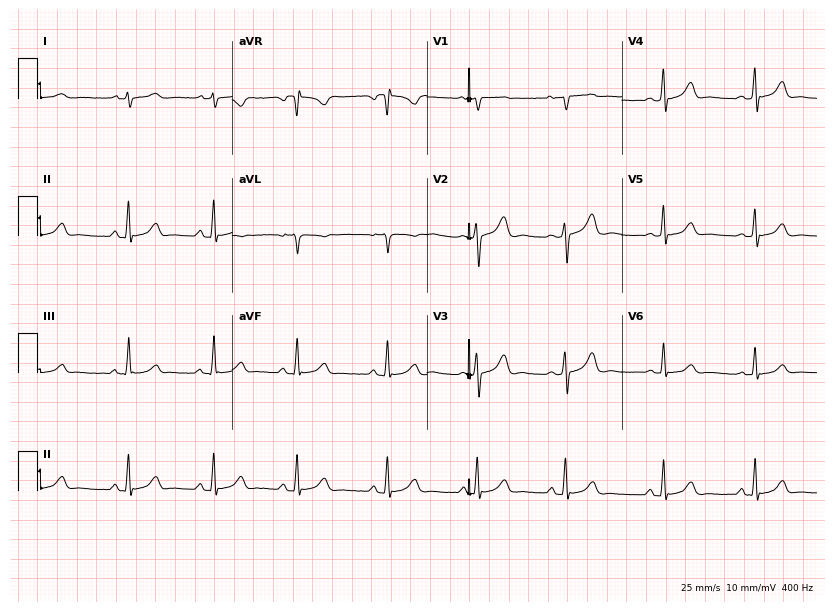
Resting 12-lead electrocardiogram (7.9-second recording at 400 Hz). Patient: a female, 19 years old. Read as a normal ECG.